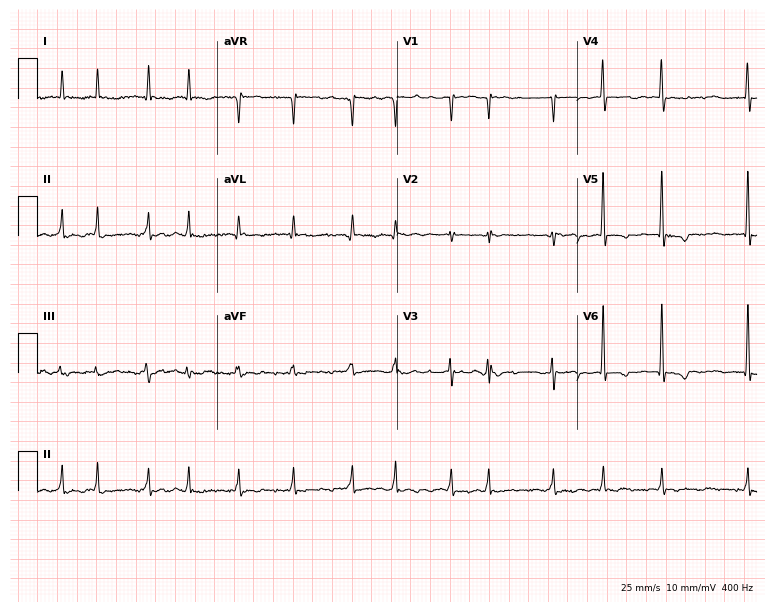
Standard 12-lead ECG recorded from a 72-year-old female patient (7.3-second recording at 400 Hz). The tracing shows atrial fibrillation (AF).